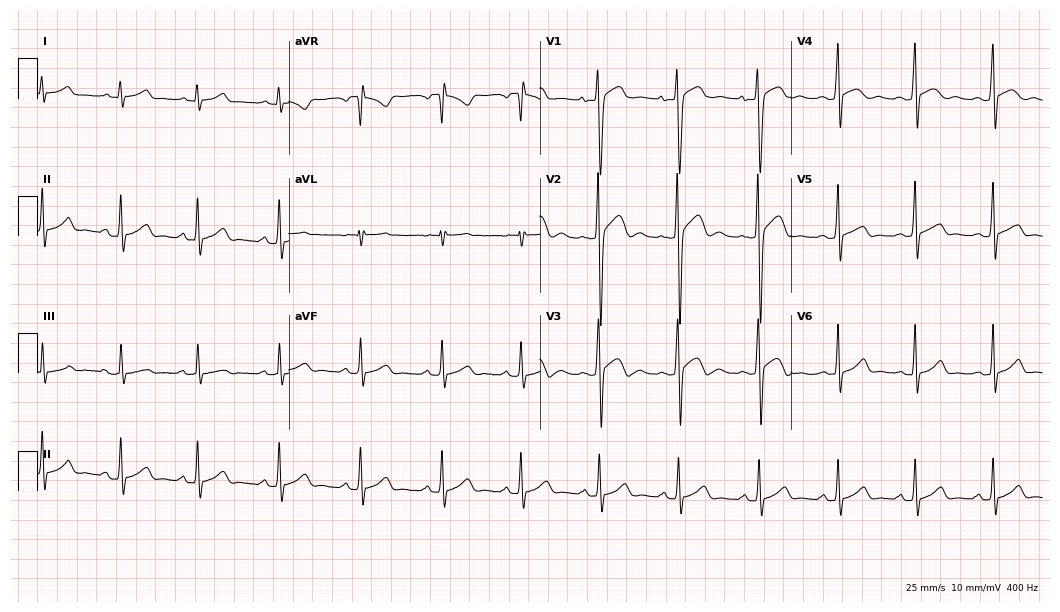
12-lead ECG from a 17-year-old man. Recorded interpretation: within normal limits.